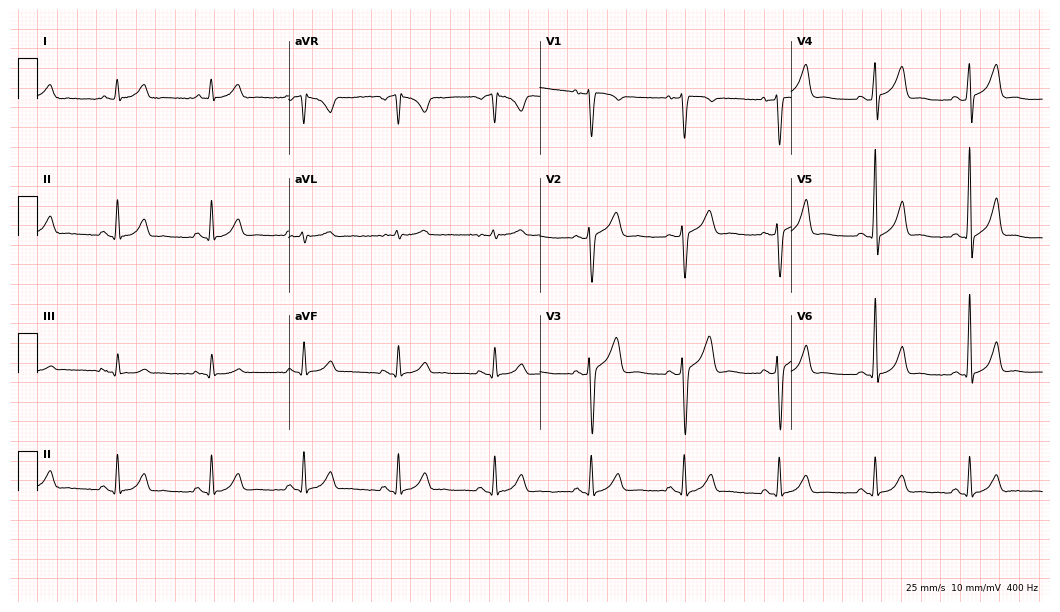
12-lead ECG from a 59-year-old male patient. Labelled as a normal ECG.